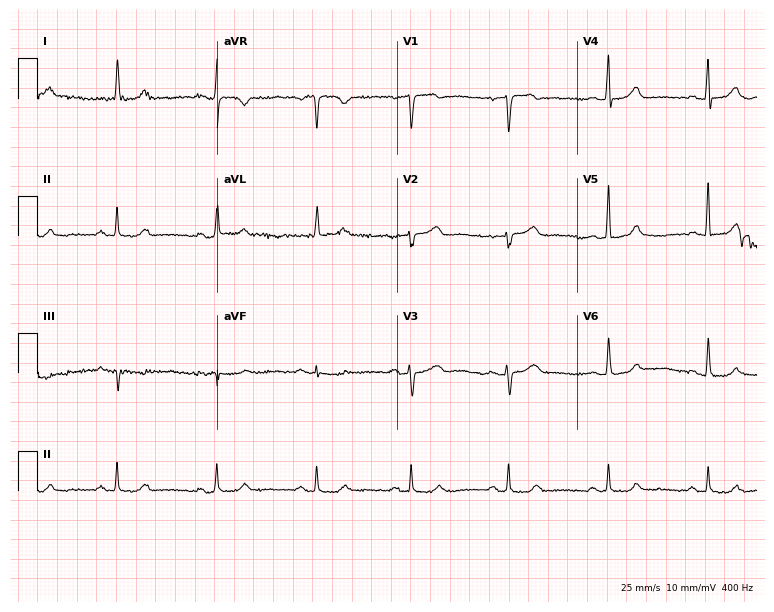
12-lead ECG (7.3-second recording at 400 Hz) from a 69-year-old woman. Screened for six findings — first-degree AV block, right bundle branch block, left bundle branch block, sinus bradycardia, atrial fibrillation, sinus tachycardia — none is recorded.